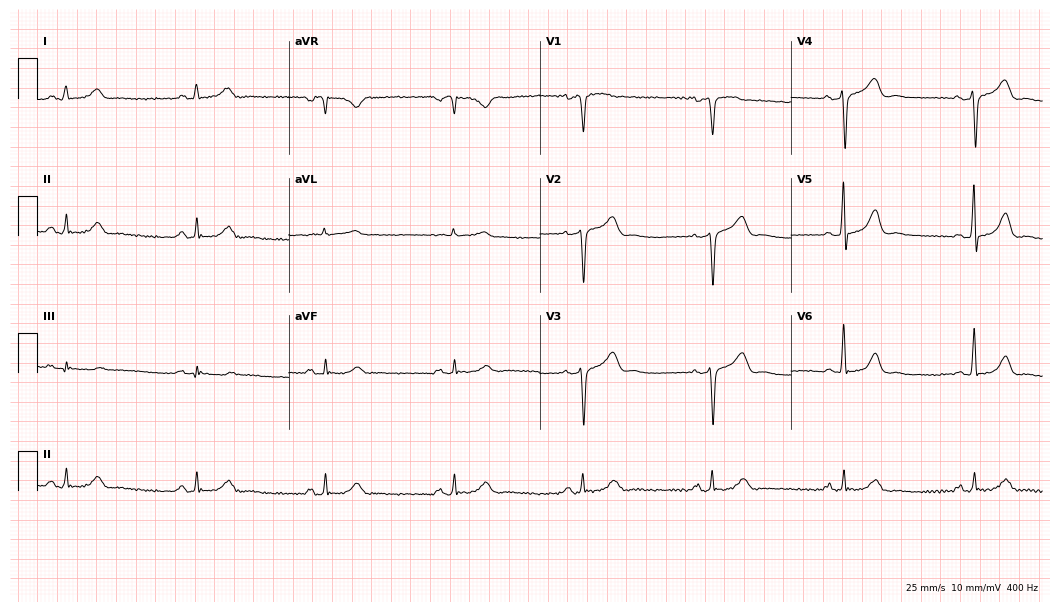
Standard 12-lead ECG recorded from a 65-year-old male (10.2-second recording at 400 Hz). The tracing shows sinus bradycardia (a sinus rate of 50 beats per minute or less).